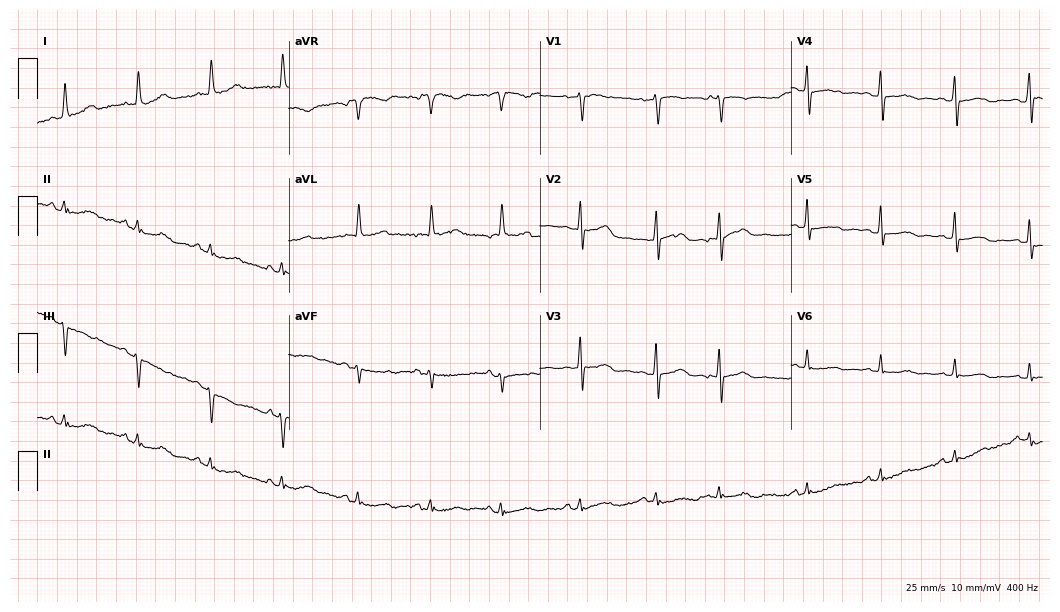
Electrocardiogram, a female, 67 years old. Of the six screened findings (first-degree AV block, right bundle branch block, left bundle branch block, sinus bradycardia, atrial fibrillation, sinus tachycardia), none is recorded. Other findings, if any, are not listed.